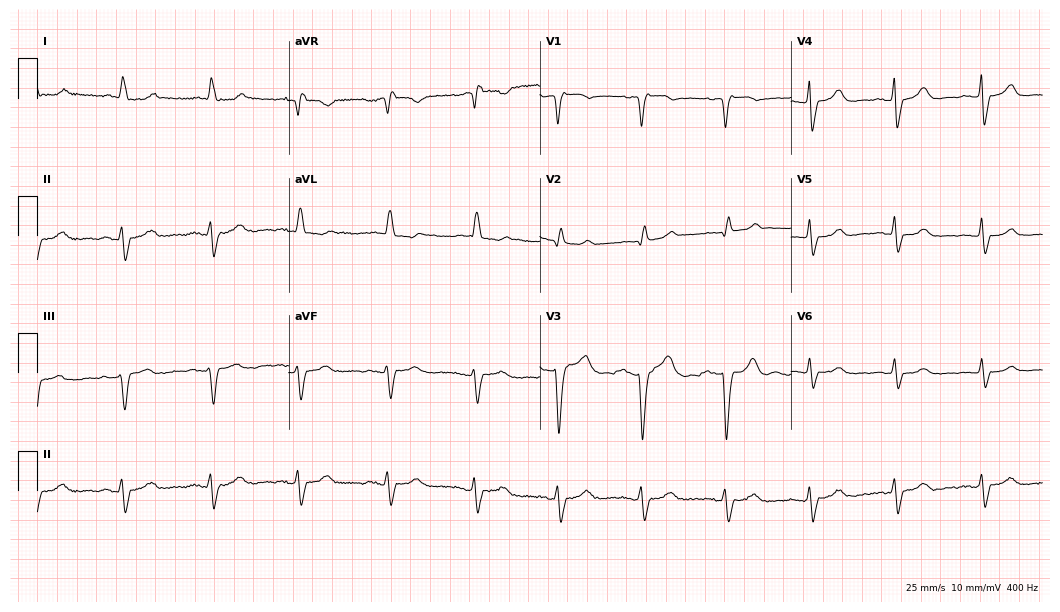
ECG — an 83-year-old female patient. Findings include left bundle branch block.